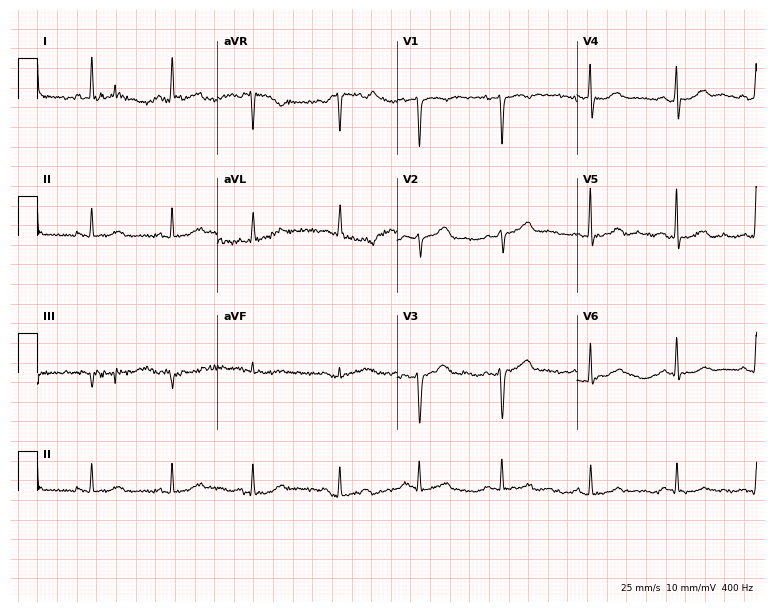
Standard 12-lead ECG recorded from a 44-year-old female patient. Read as a normal ECG.